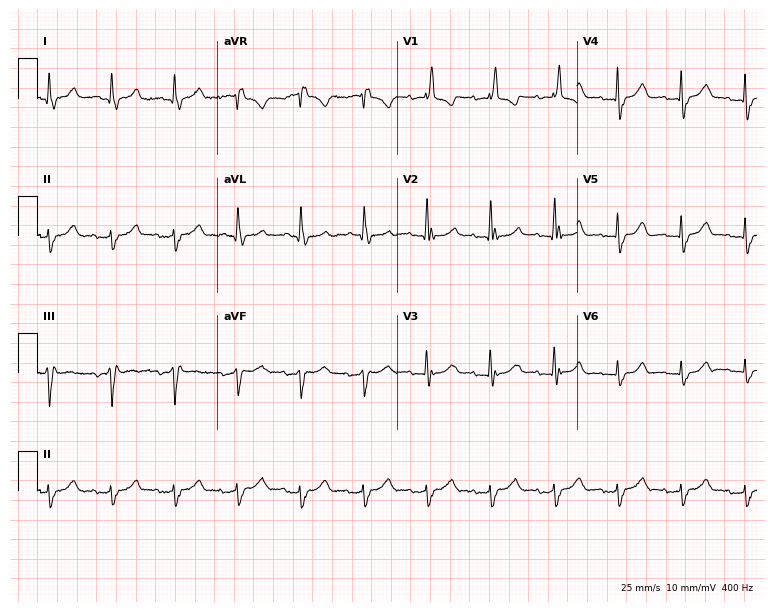
Resting 12-lead electrocardiogram (7.3-second recording at 400 Hz). Patient: an 84-year-old female. The tracing shows right bundle branch block.